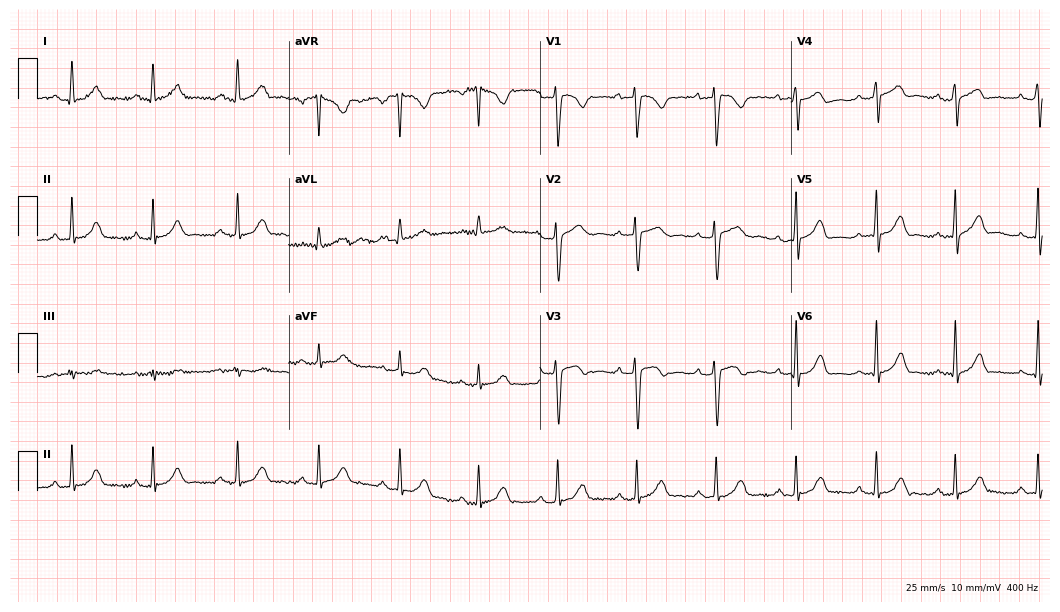
12-lead ECG from a woman, 17 years old (10.2-second recording at 400 Hz). Recorded interpretation: within normal limits.